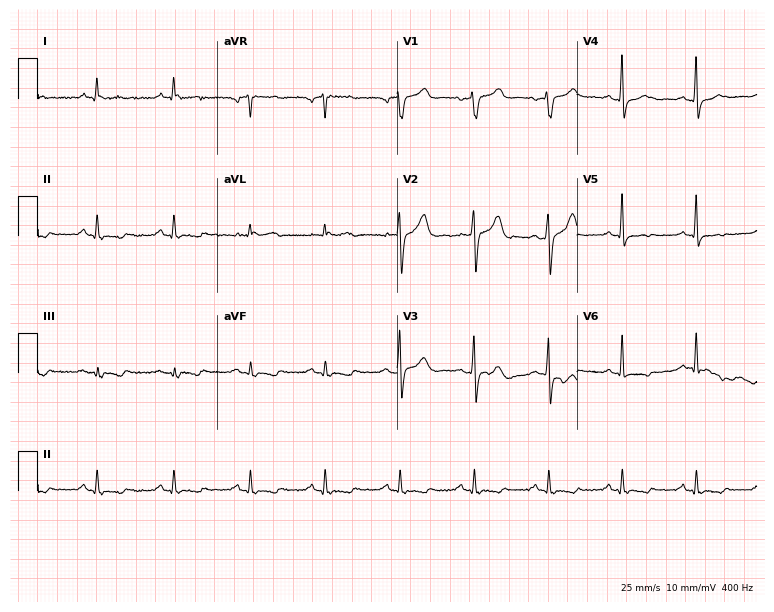
12-lead ECG from a male, 80 years old. No first-degree AV block, right bundle branch block (RBBB), left bundle branch block (LBBB), sinus bradycardia, atrial fibrillation (AF) or sinus tachycardia recorded for this tracing. Other findings, if any, are not listed.